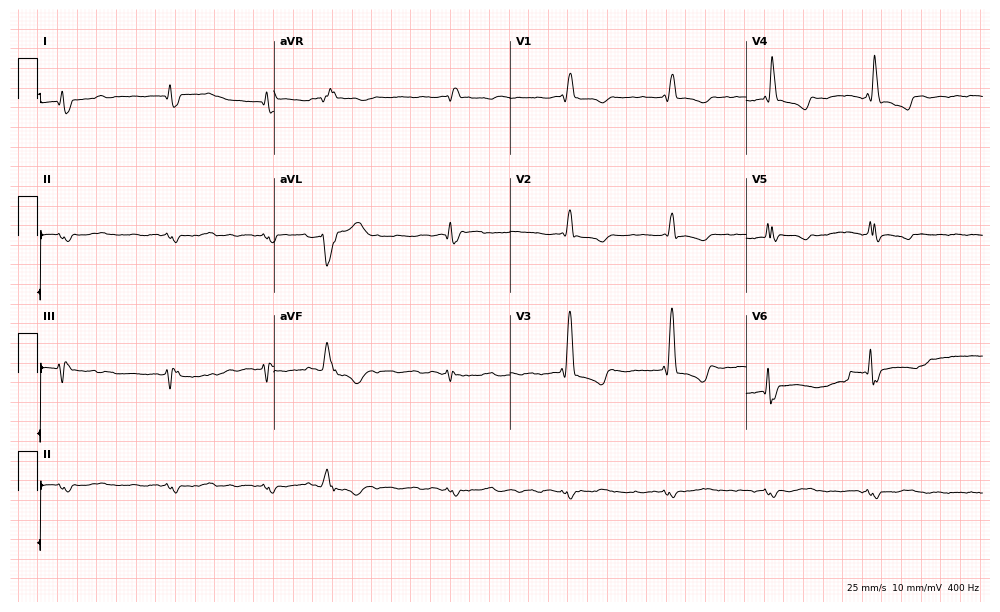
Standard 12-lead ECG recorded from a male patient, 83 years old (9.6-second recording at 400 Hz). The tracing shows right bundle branch block, atrial fibrillation.